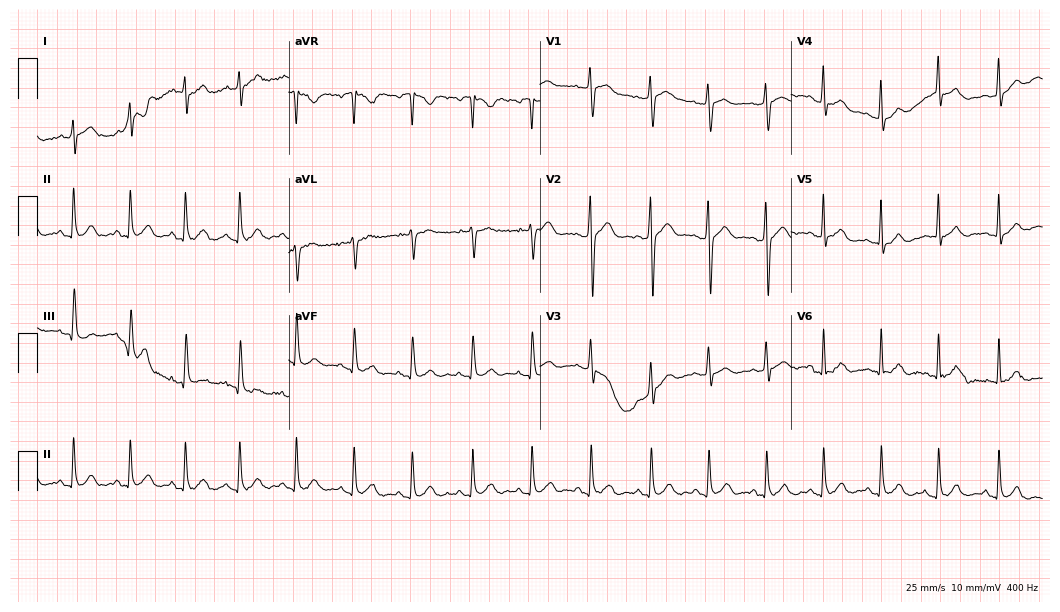
12-lead ECG from an 18-year-old man (10.2-second recording at 400 Hz). Shows sinus tachycardia (a sinus rate of 100 beats per minute or more).